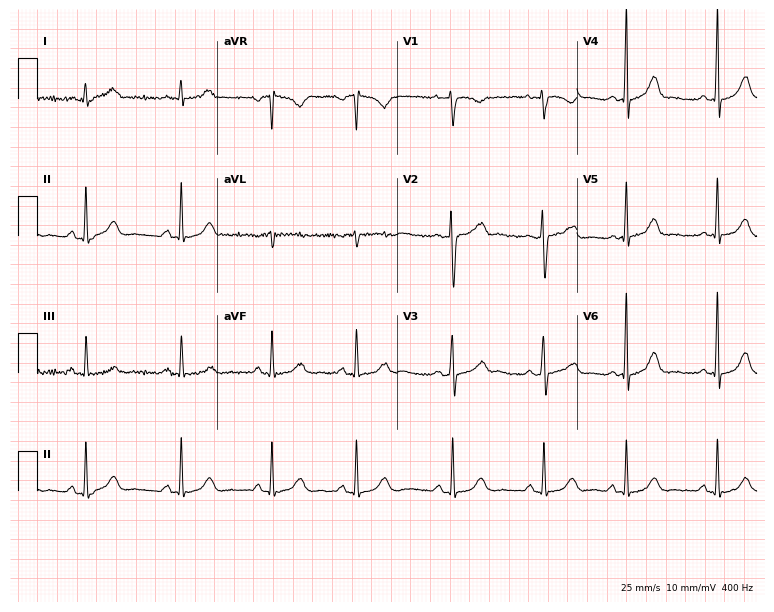
12-lead ECG (7.3-second recording at 400 Hz) from a female, 33 years old. Screened for six findings — first-degree AV block, right bundle branch block, left bundle branch block, sinus bradycardia, atrial fibrillation, sinus tachycardia — none is recorded. Only these six findings were labelled.